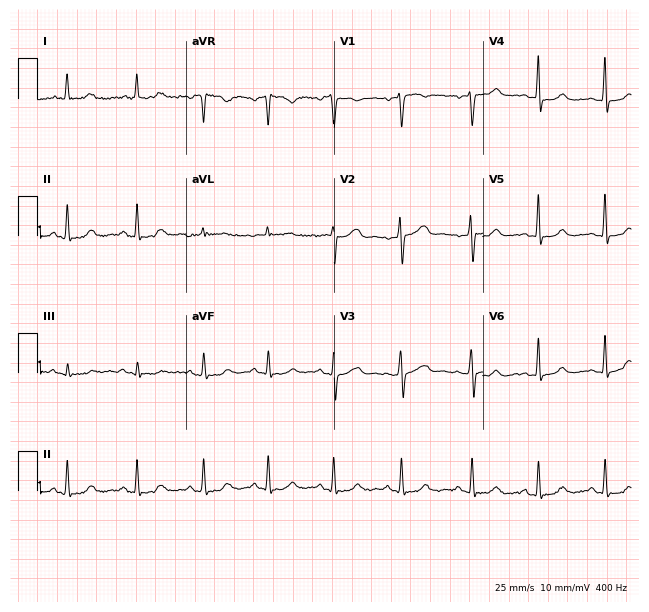
Resting 12-lead electrocardiogram. Patient: a female, 43 years old. None of these six findings is recorded: first-degree AV block, right bundle branch block, left bundle branch block, sinus bradycardia, atrial fibrillation, sinus tachycardia.